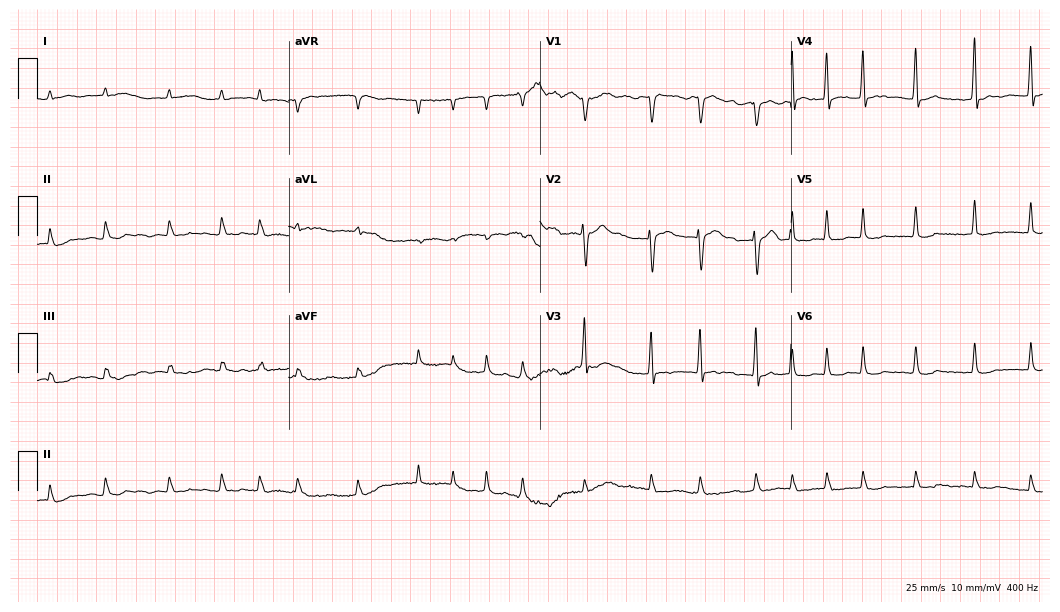
ECG (10.2-second recording at 400 Hz) — a male patient, 82 years old. Findings include atrial fibrillation.